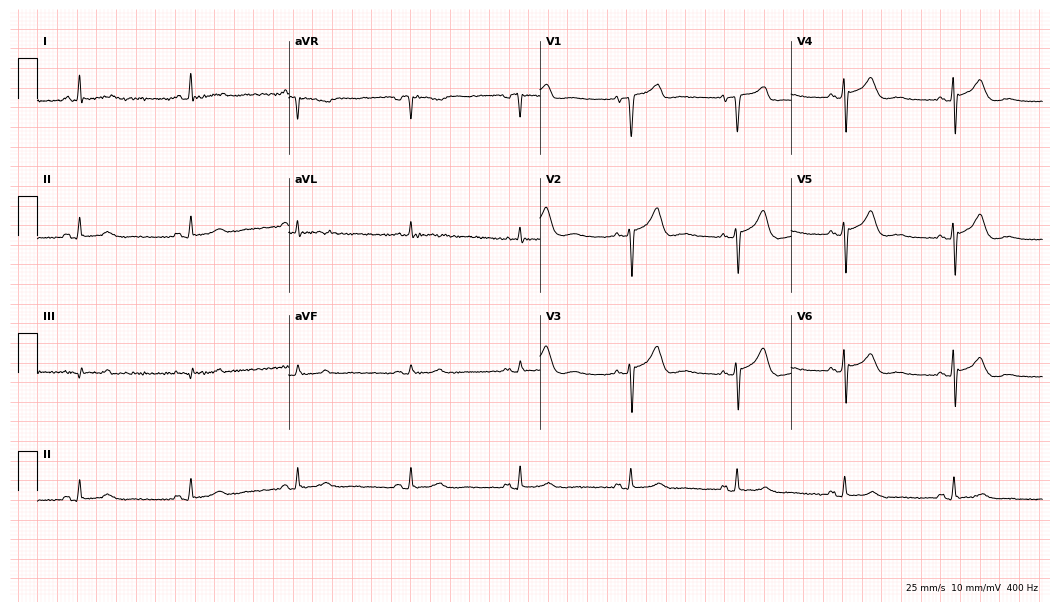
Electrocardiogram, a 69-year-old male. Of the six screened findings (first-degree AV block, right bundle branch block, left bundle branch block, sinus bradycardia, atrial fibrillation, sinus tachycardia), none is recorded.